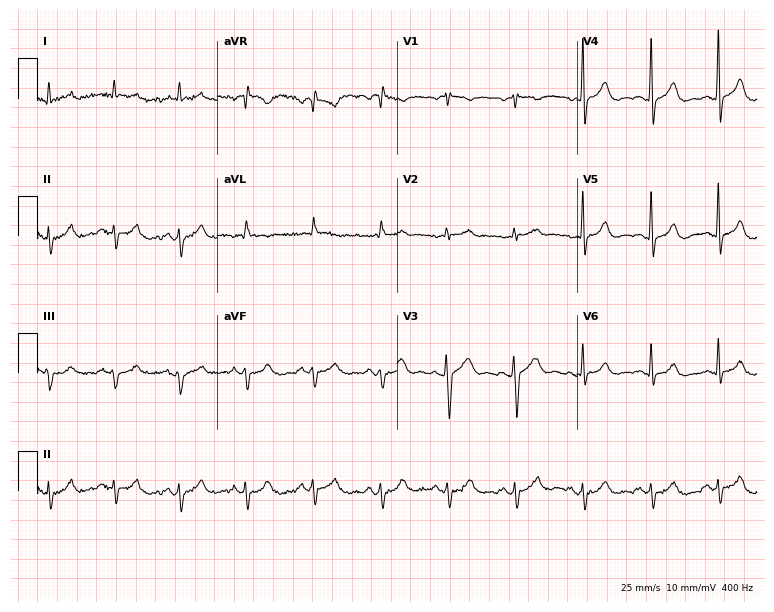
Resting 12-lead electrocardiogram (7.3-second recording at 400 Hz). Patient: a male, 56 years old. None of these six findings is recorded: first-degree AV block, right bundle branch block, left bundle branch block, sinus bradycardia, atrial fibrillation, sinus tachycardia.